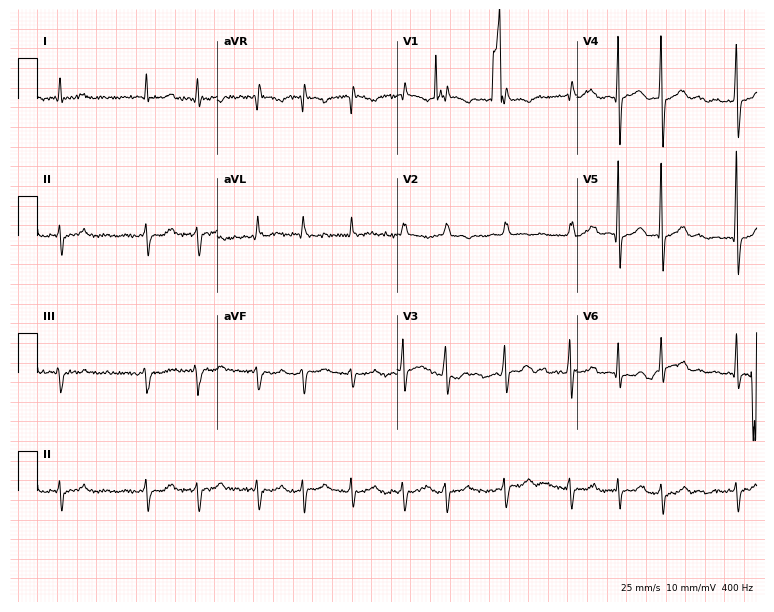
Electrocardiogram, a 78-year-old male. Interpretation includes atrial fibrillation (AF).